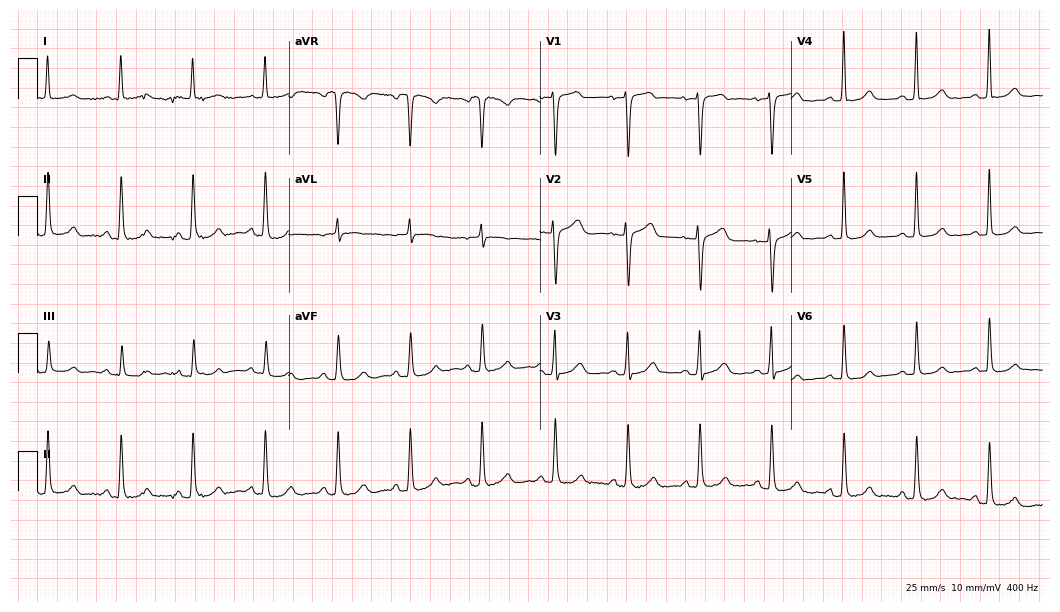
12-lead ECG from a woman, 66 years old. Labelled as a normal ECG.